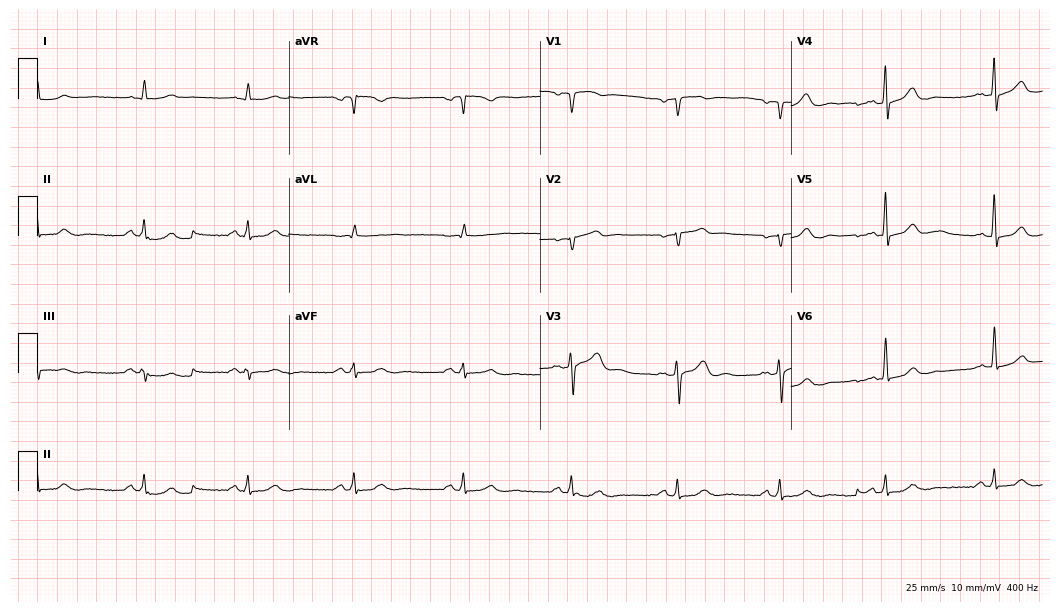
12-lead ECG from a 75-year-old male. Screened for six findings — first-degree AV block, right bundle branch block, left bundle branch block, sinus bradycardia, atrial fibrillation, sinus tachycardia — none is recorded.